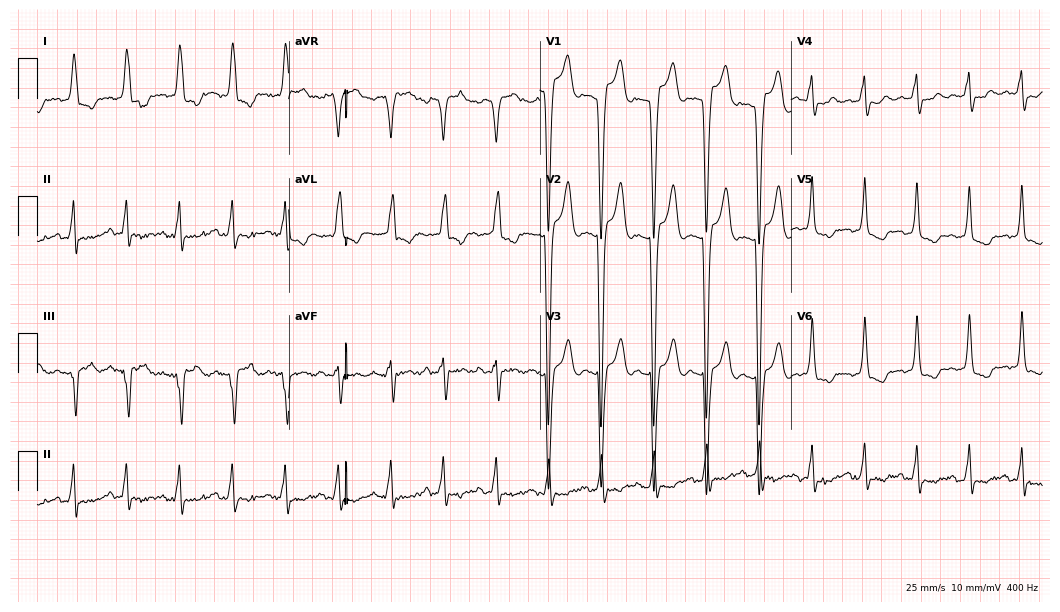
Electrocardiogram (10.2-second recording at 400 Hz), a woman, 79 years old. Interpretation includes left bundle branch block.